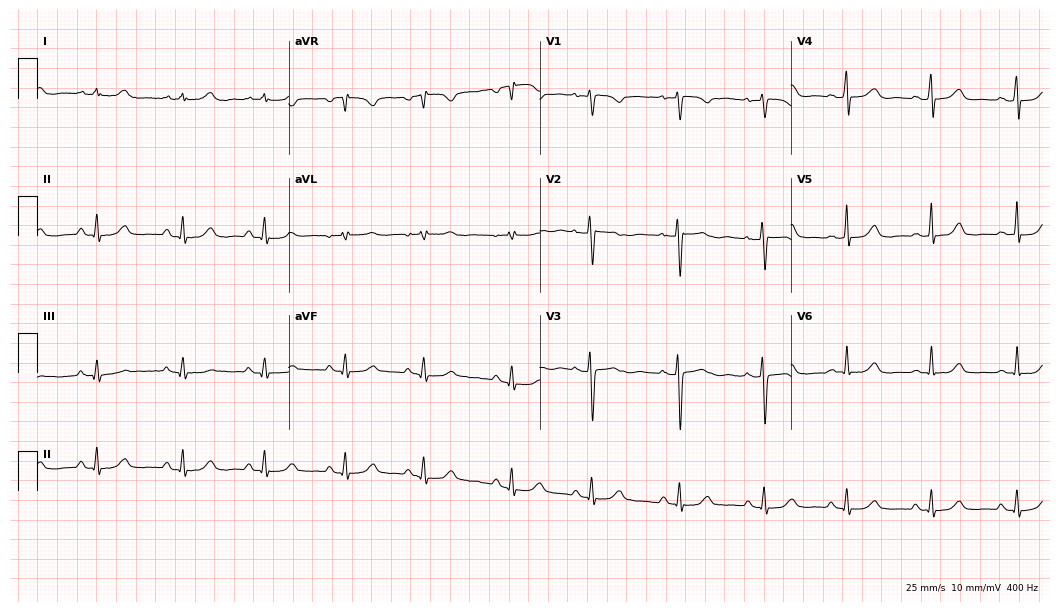
ECG — a 40-year-old female. Screened for six findings — first-degree AV block, right bundle branch block, left bundle branch block, sinus bradycardia, atrial fibrillation, sinus tachycardia — none is recorded. Other findings, if any, are not listed.